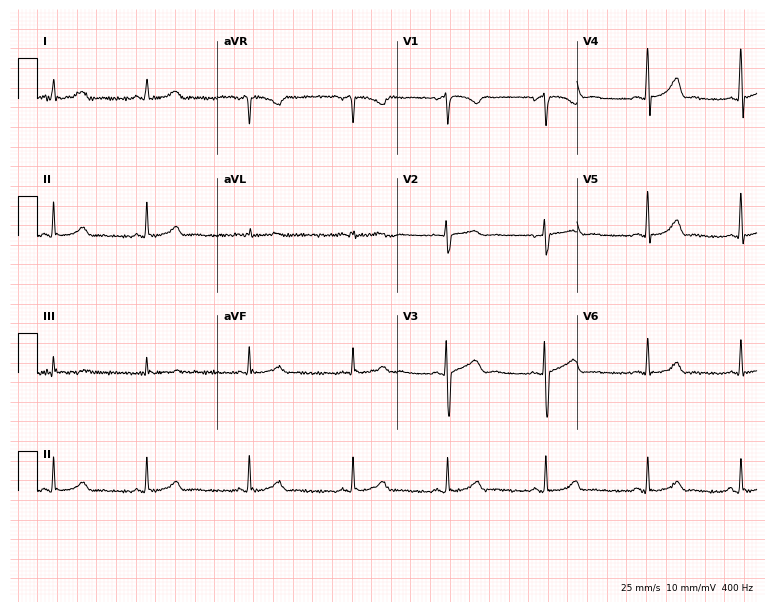
Electrocardiogram, a 23-year-old female patient. Overall reading on record: normal ECG.